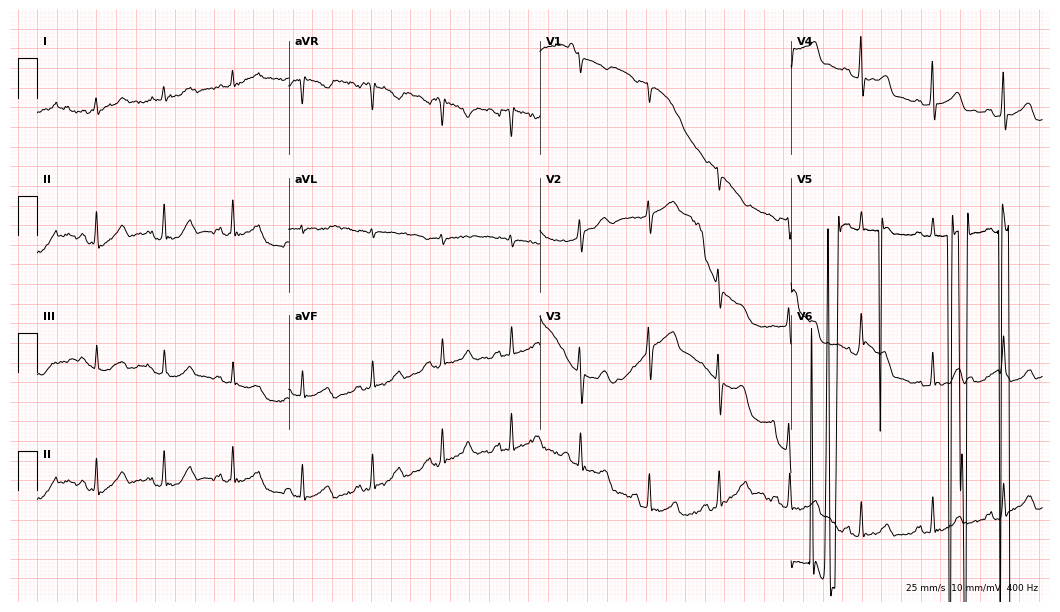
12-lead ECG (10.2-second recording at 400 Hz) from a female patient, 54 years old. Labelled as a normal ECG.